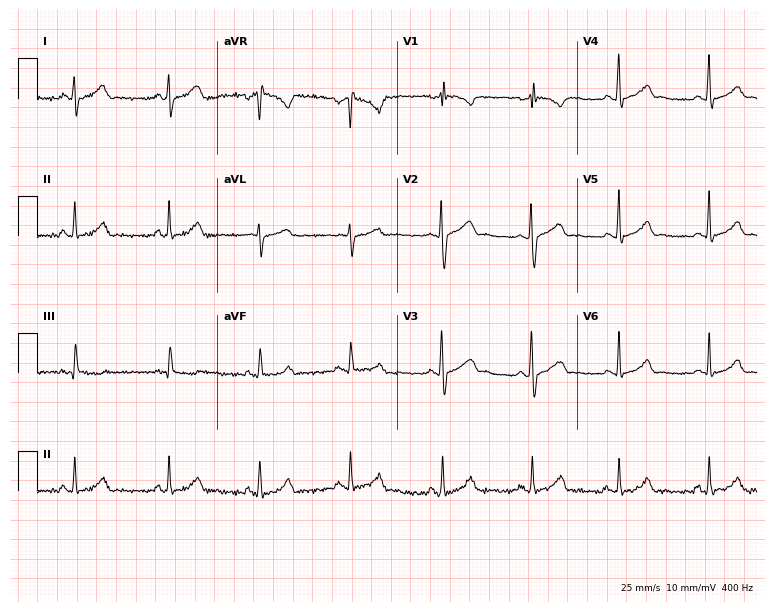
Standard 12-lead ECG recorded from a female, 20 years old (7.3-second recording at 400 Hz). None of these six findings is recorded: first-degree AV block, right bundle branch block, left bundle branch block, sinus bradycardia, atrial fibrillation, sinus tachycardia.